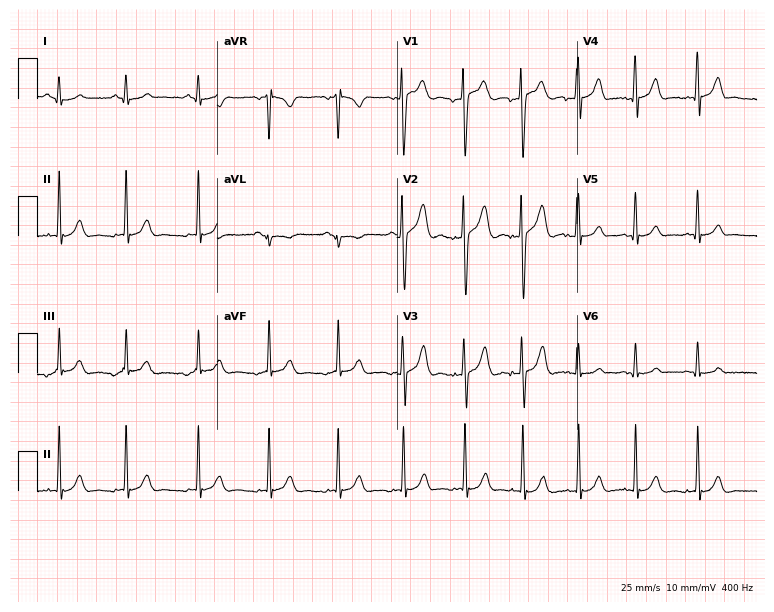
12-lead ECG from a 24-year-old male. Labelled as a normal ECG.